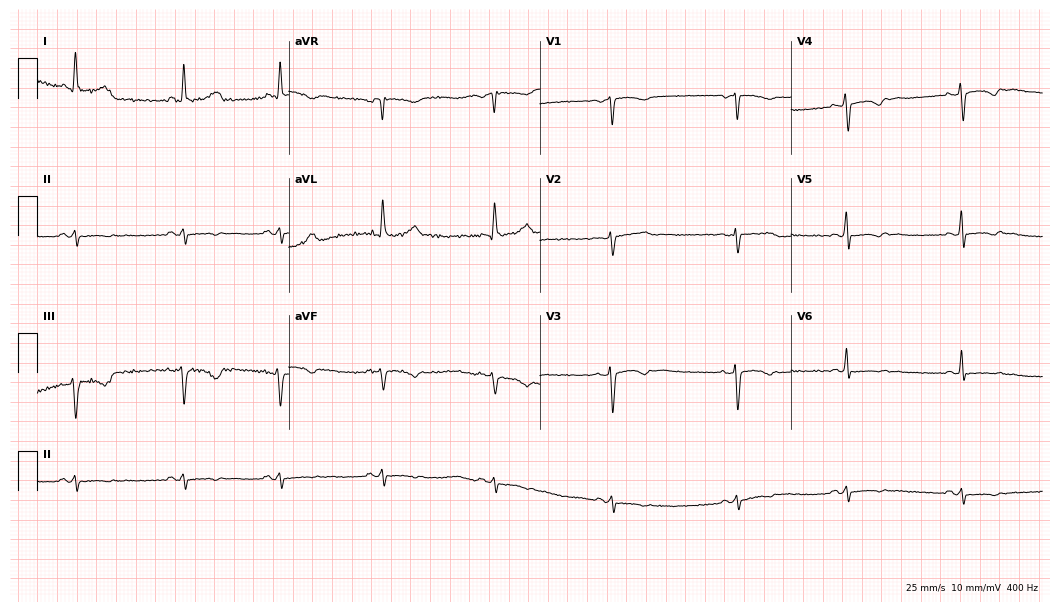
Electrocardiogram (10.2-second recording at 400 Hz), a 47-year-old woman. Of the six screened findings (first-degree AV block, right bundle branch block (RBBB), left bundle branch block (LBBB), sinus bradycardia, atrial fibrillation (AF), sinus tachycardia), none is recorded.